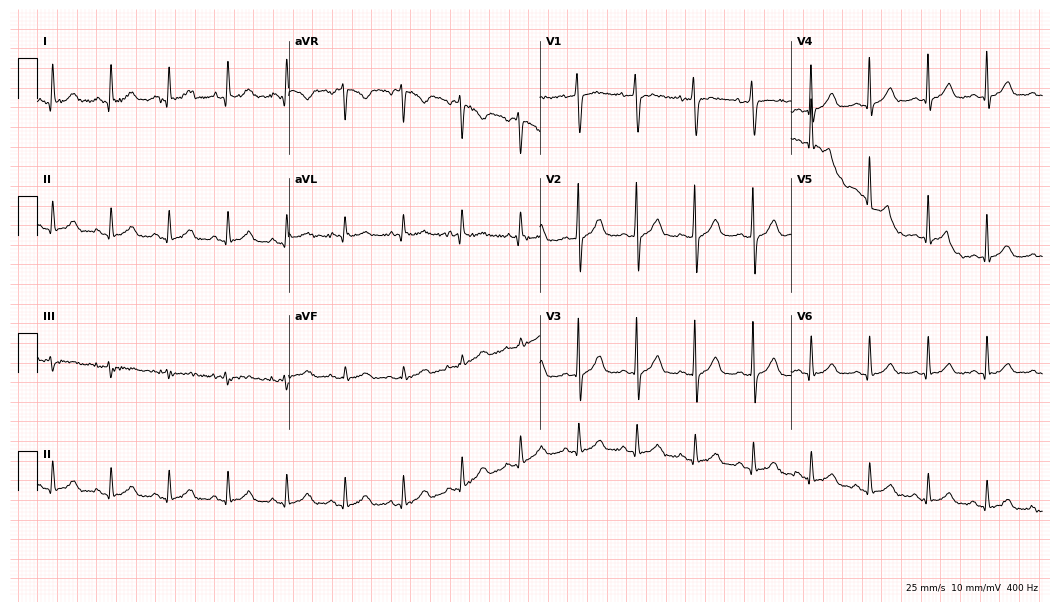
Standard 12-lead ECG recorded from a 38-year-old female (10.2-second recording at 400 Hz). The tracing shows sinus tachycardia (a sinus rate of 100 beats per minute or more).